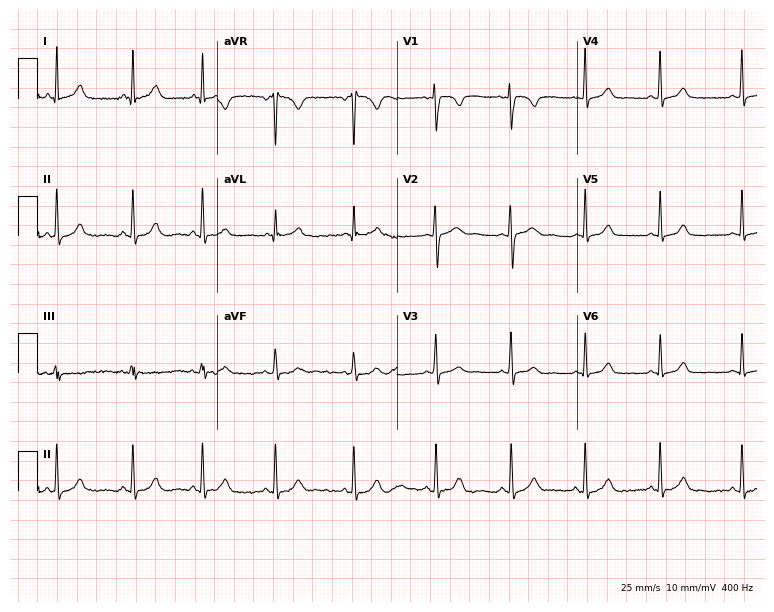
12-lead ECG from a woman, 19 years old (7.3-second recording at 400 Hz). Recorded interpretation: within normal limits.